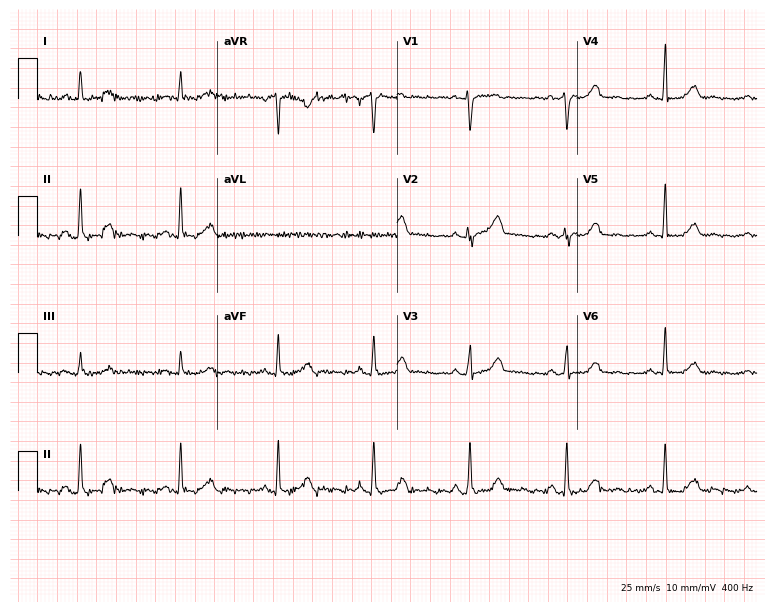
Electrocardiogram (7.3-second recording at 400 Hz), a 59-year-old woman. Overall reading on record: normal ECG.